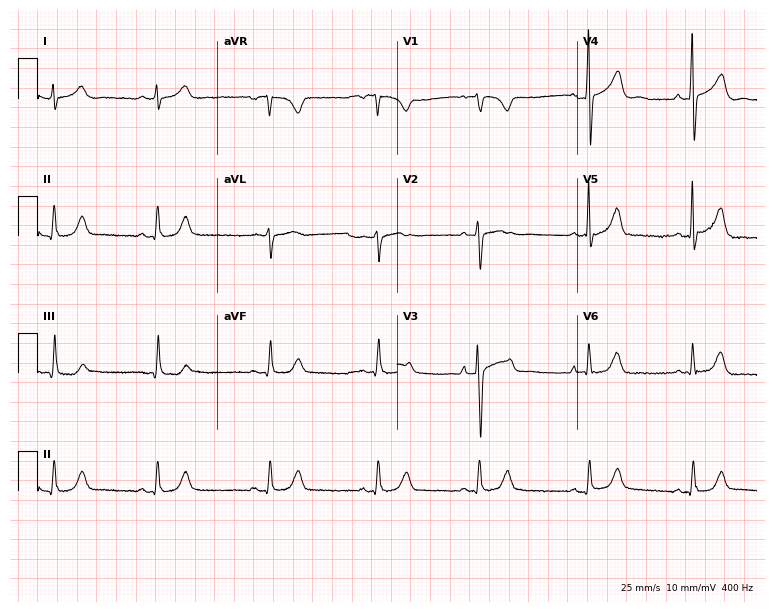
Electrocardiogram, a man, 63 years old. Overall reading on record: normal ECG.